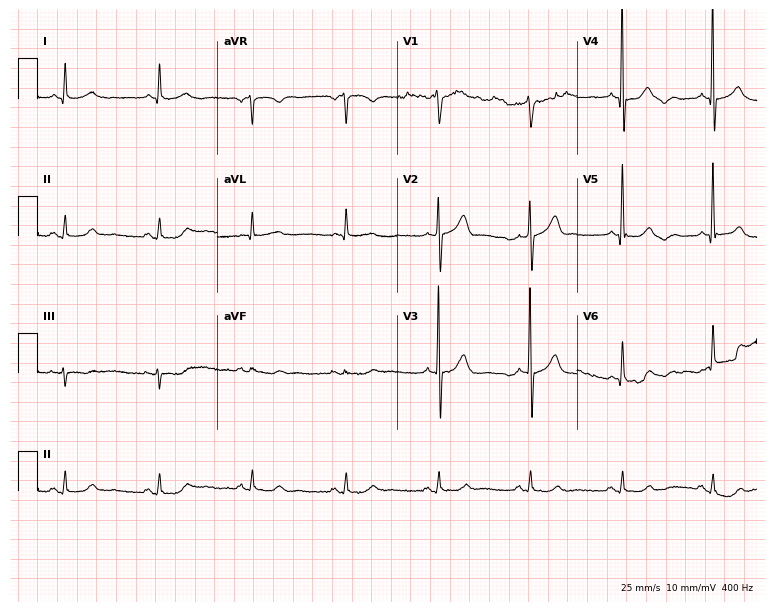
Resting 12-lead electrocardiogram. Patient: a male, 64 years old. Read as a normal ECG.